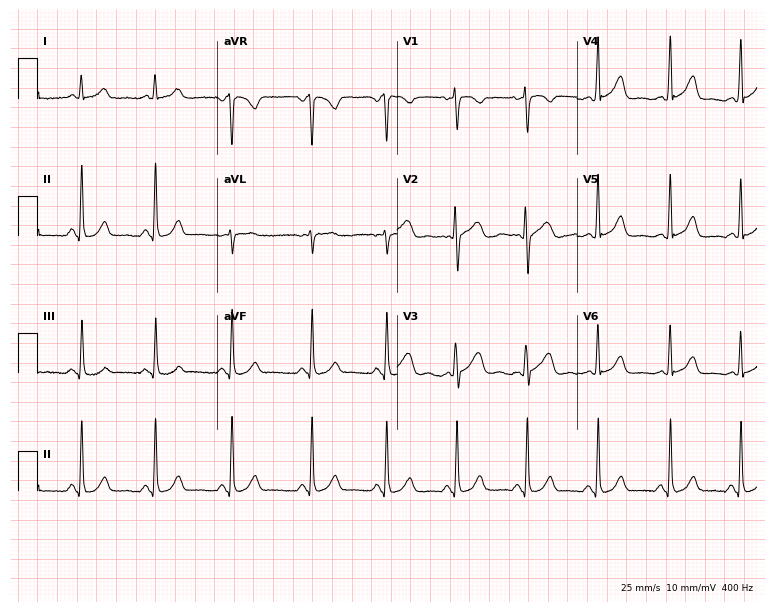
12-lead ECG (7.3-second recording at 400 Hz) from a 34-year-old female patient. Screened for six findings — first-degree AV block, right bundle branch block, left bundle branch block, sinus bradycardia, atrial fibrillation, sinus tachycardia — none is recorded. Findings outside these six are not listed.